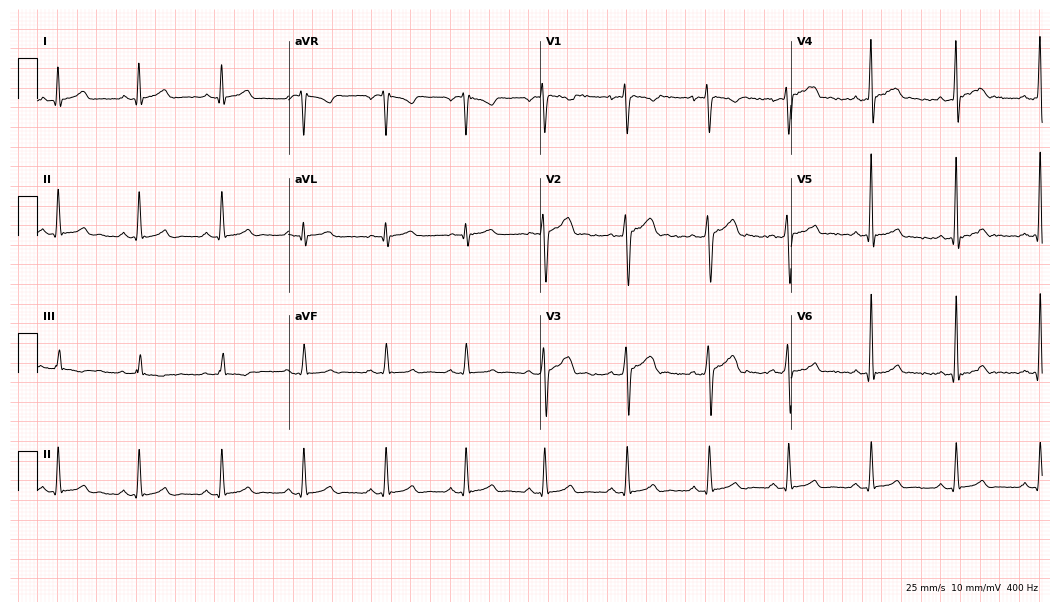
Standard 12-lead ECG recorded from a 24-year-old woman. Read as a normal ECG.